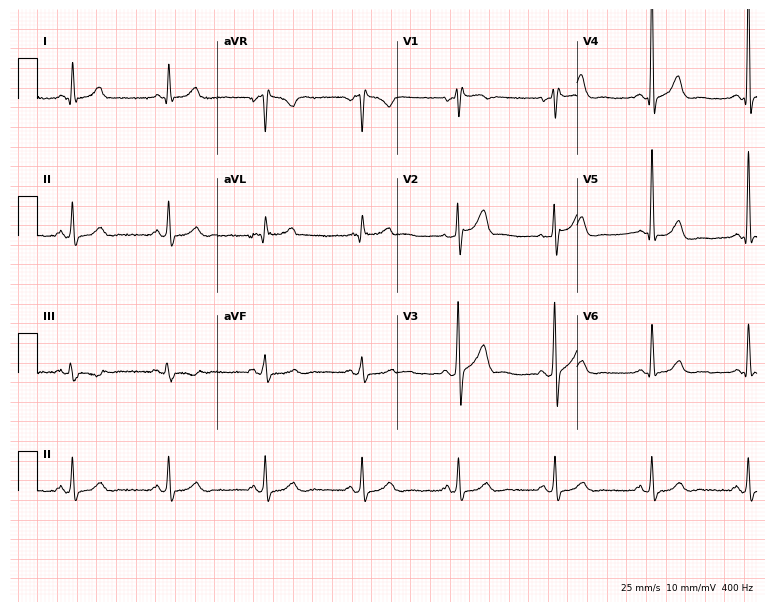
12-lead ECG from a man, 69 years old. Labelled as a normal ECG.